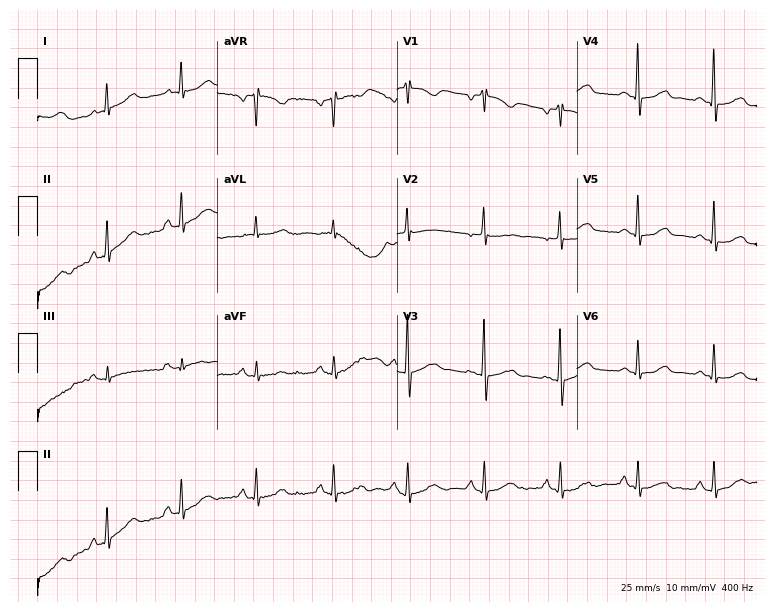
Standard 12-lead ECG recorded from an 85-year-old female. None of these six findings is recorded: first-degree AV block, right bundle branch block (RBBB), left bundle branch block (LBBB), sinus bradycardia, atrial fibrillation (AF), sinus tachycardia.